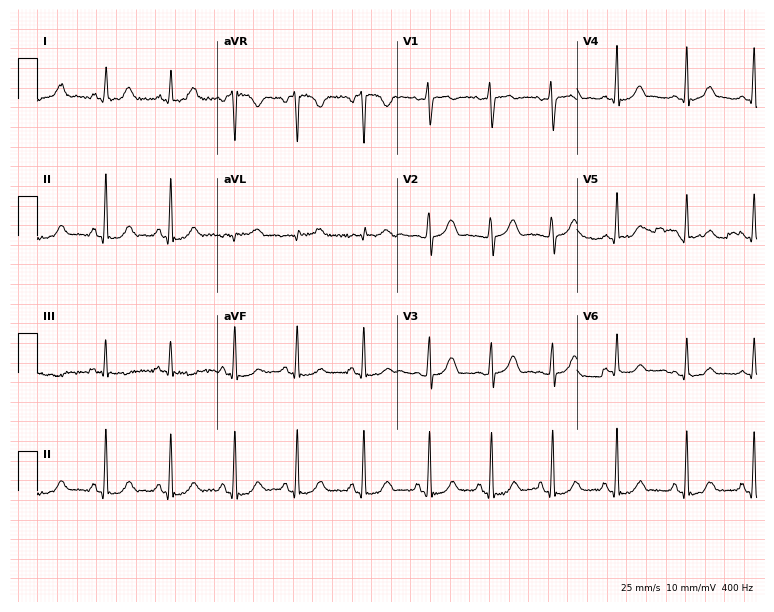
Standard 12-lead ECG recorded from a 29-year-old female. None of these six findings is recorded: first-degree AV block, right bundle branch block (RBBB), left bundle branch block (LBBB), sinus bradycardia, atrial fibrillation (AF), sinus tachycardia.